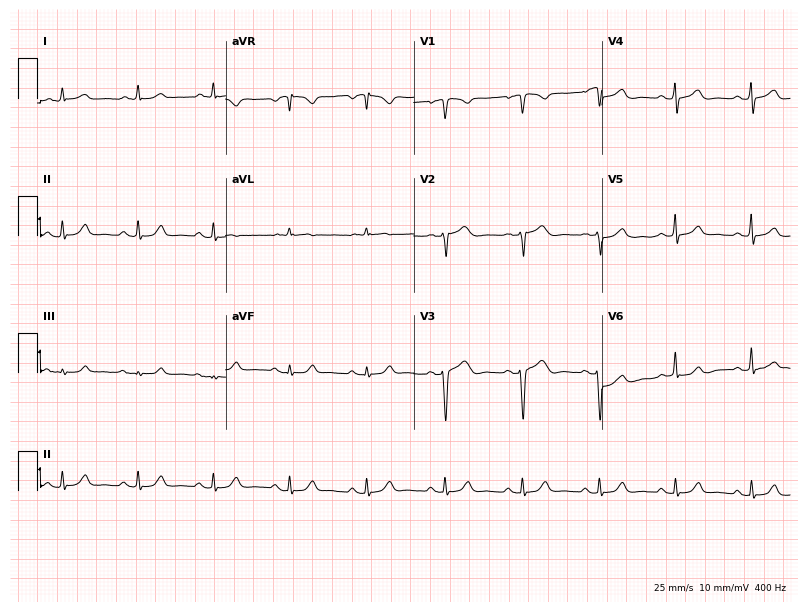
Electrocardiogram (7.7-second recording at 400 Hz), a 65-year-old man. Of the six screened findings (first-degree AV block, right bundle branch block (RBBB), left bundle branch block (LBBB), sinus bradycardia, atrial fibrillation (AF), sinus tachycardia), none is recorded.